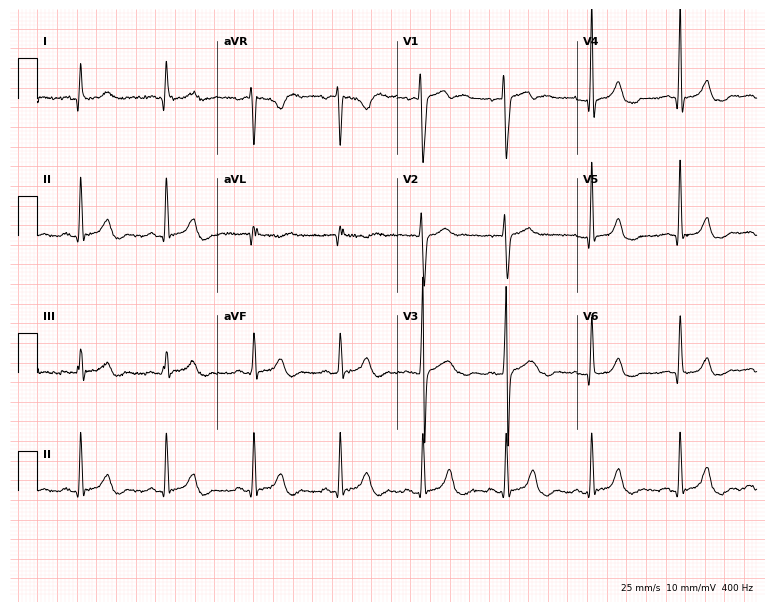
Resting 12-lead electrocardiogram. Patient: a 25-year-old male. Read as a normal ECG.